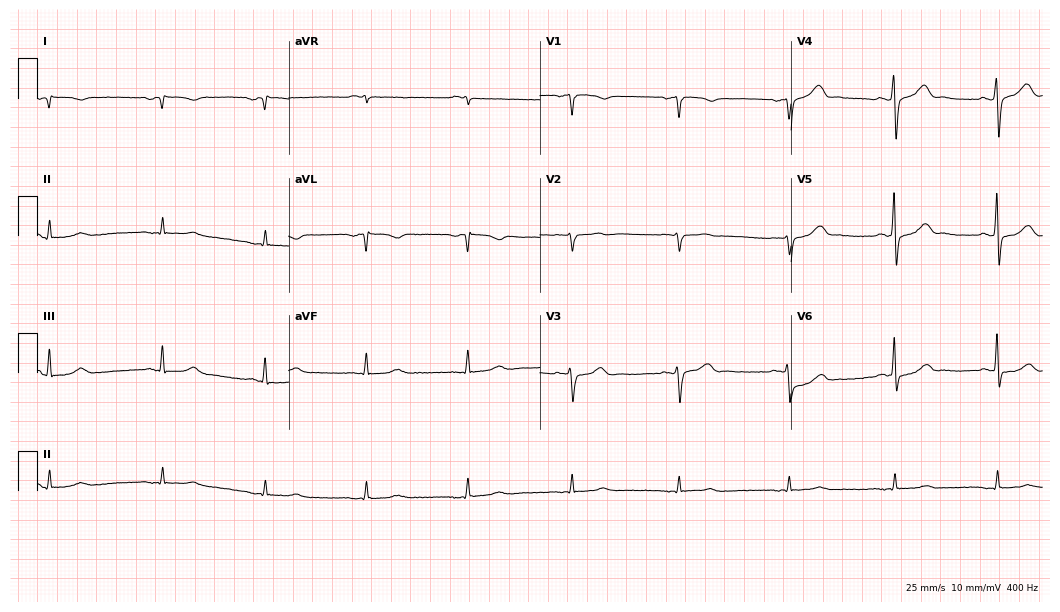
Electrocardiogram, a 64-year-old male. Of the six screened findings (first-degree AV block, right bundle branch block, left bundle branch block, sinus bradycardia, atrial fibrillation, sinus tachycardia), none is recorded. Findings outside these six are not listed.